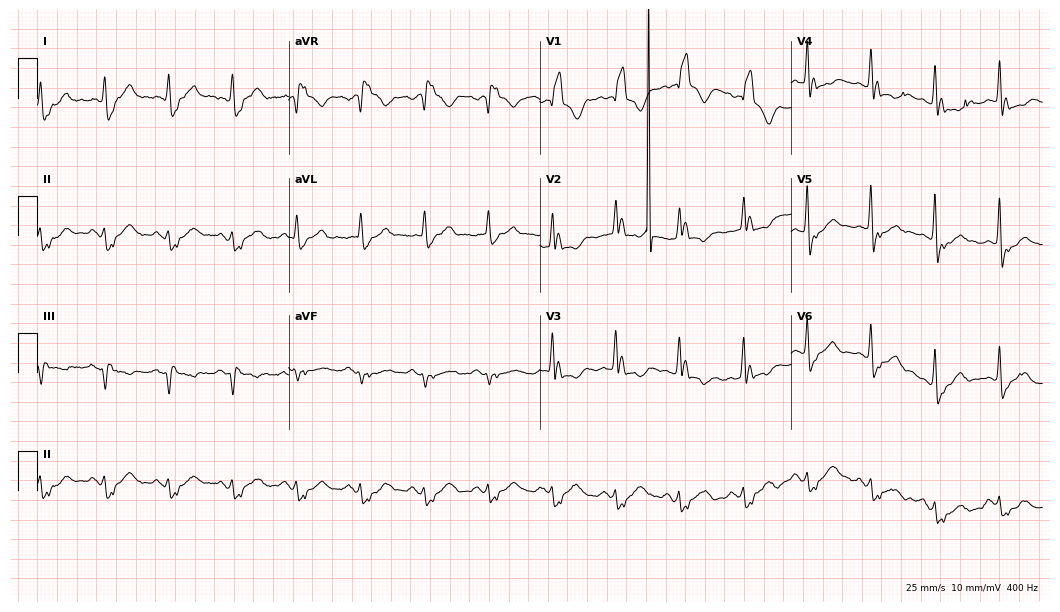
12-lead ECG from a male patient, 83 years old. Findings include right bundle branch block, sinus tachycardia (a sinus rate of 100 beats per minute or more).